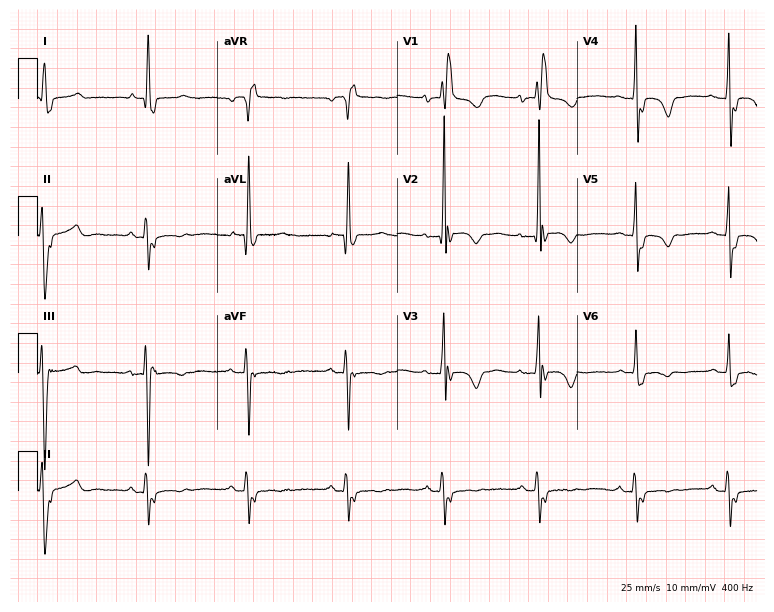
Electrocardiogram, an 80-year-old female patient. Interpretation includes right bundle branch block (RBBB).